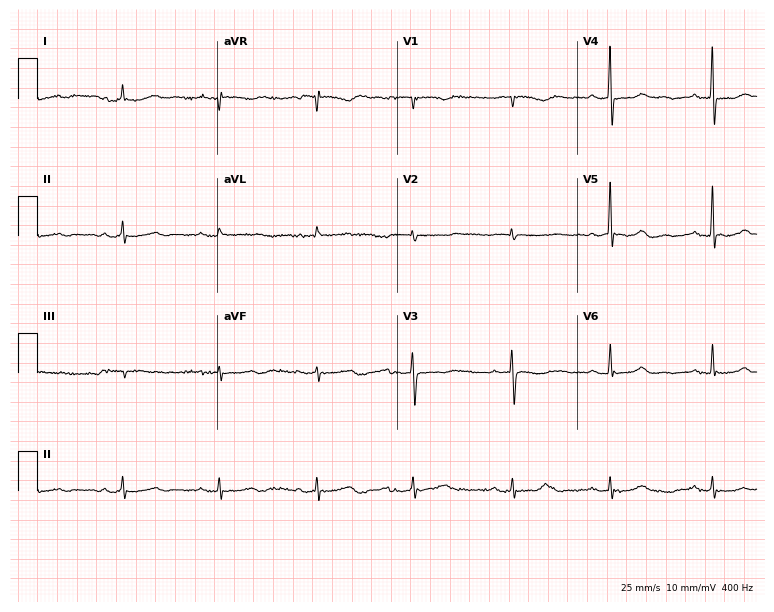
Electrocardiogram, a woman, 68 years old. Of the six screened findings (first-degree AV block, right bundle branch block, left bundle branch block, sinus bradycardia, atrial fibrillation, sinus tachycardia), none is recorded.